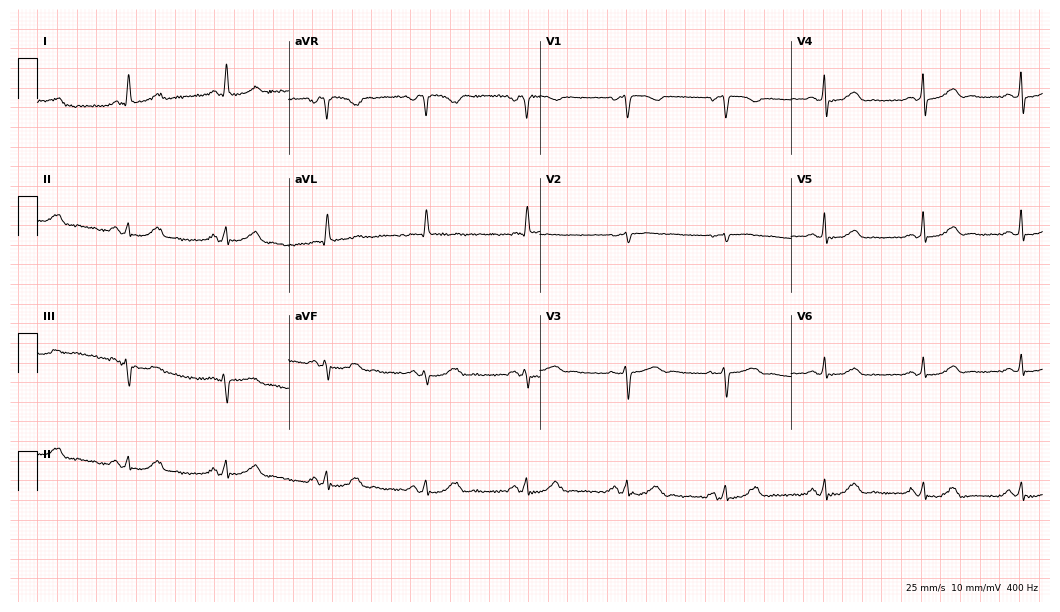
12-lead ECG from a 65-year-old female (10.2-second recording at 400 Hz). Recorded interpretation: within normal limits.